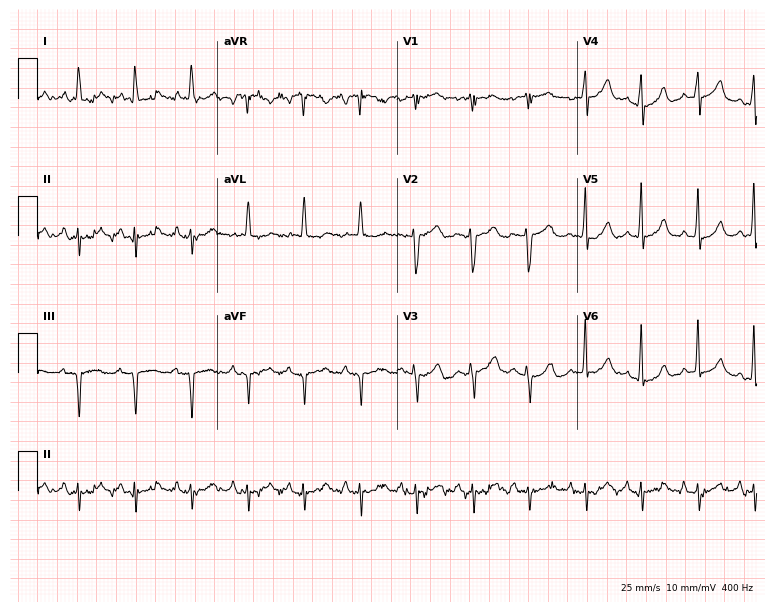
Electrocardiogram, a woman, 87 years old. Of the six screened findings (first-degree AV block, right bundle branch block, left bundle branch block, sinus bradycardia, atrial fibrillation, sinus tachycardia), none is recorded. Findings outside these six are not listed.